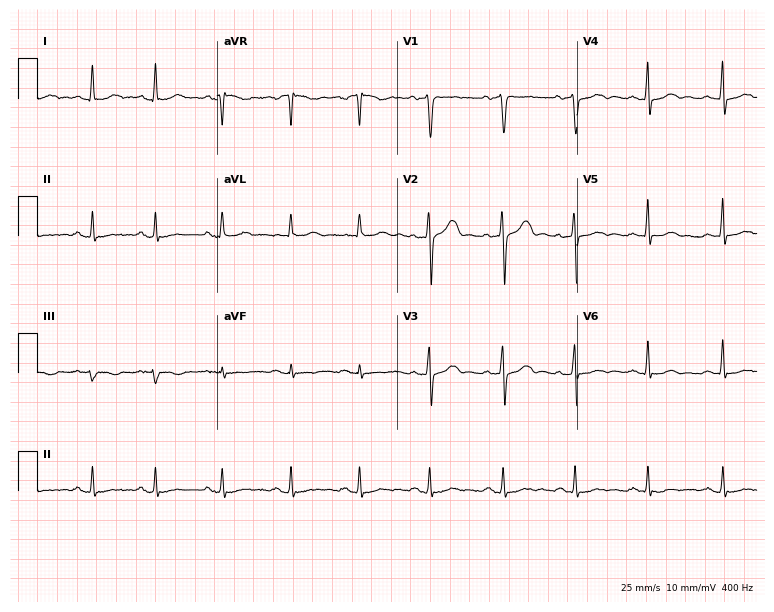
12-lead ECG from a 50-year-old male patient. No first-degree AV block, right bundle branch block, left bundle branch block, sinus bradycardia, atrial fibrillation or sinus tachycardia recorded for this tracing.